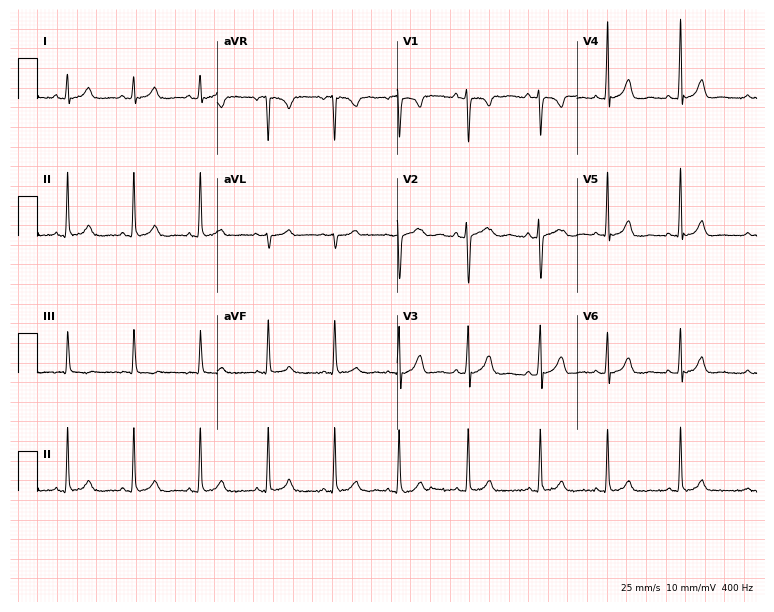
Standard 12-lead ECG recorded from a female, 25 years old. None of these six findings is recorded: first-degree AV block, right bundle branch block, left bundle branch block, sinus bradycardia, atrial fibrillation, sinus tachycardia.